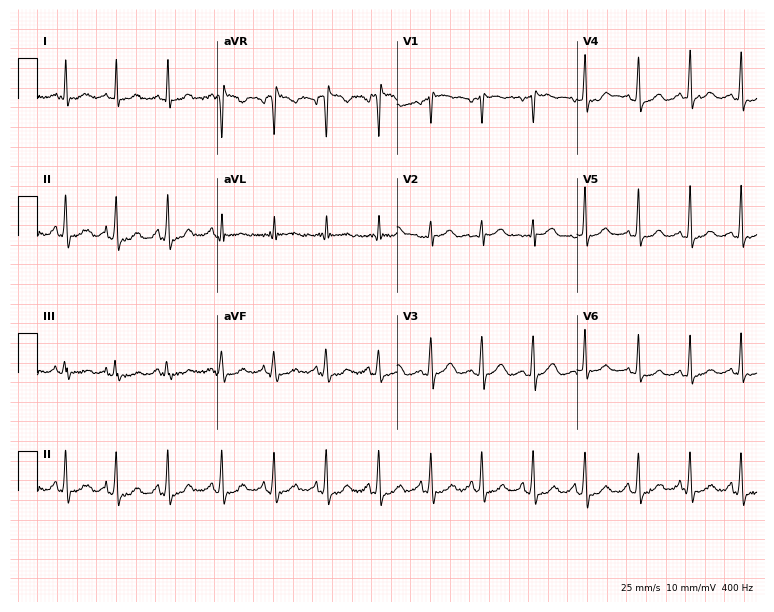
12-lead ECG from a female, 44 years old (7.3-second recording at 400 Hz). Shows sinus tachycardia (a sinus rate of 100 beats per minute or more).